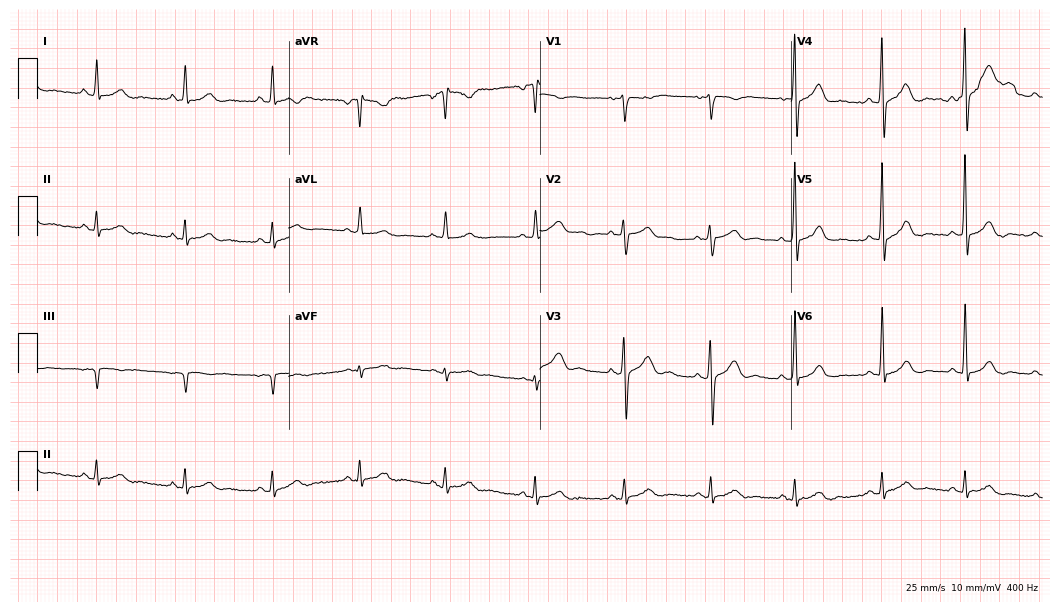
Resting 12-lead electrocardiogram. Patient: a 50-year-old male. Read as a normal ECG.